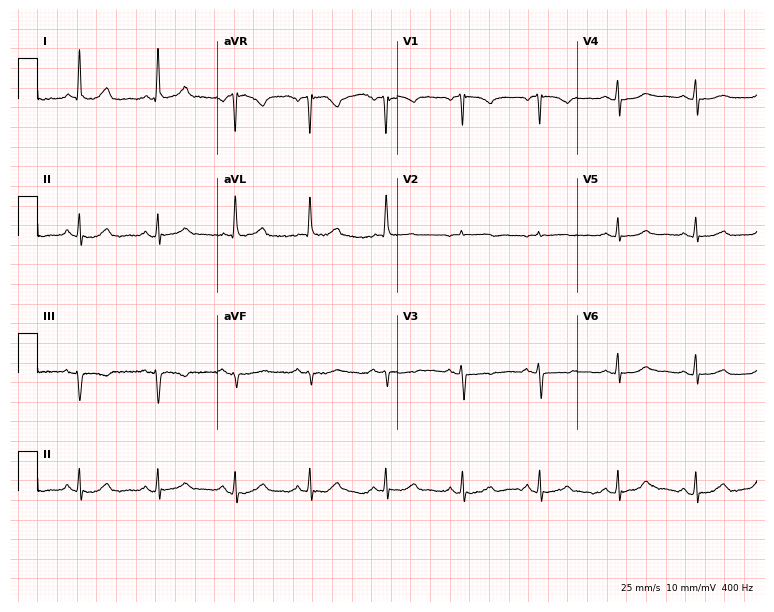
Resting 12-lead electrocardiogram (7.3-second recording at 400 Hz). Patient: a female, 60 years old. Read as a normal ECG.